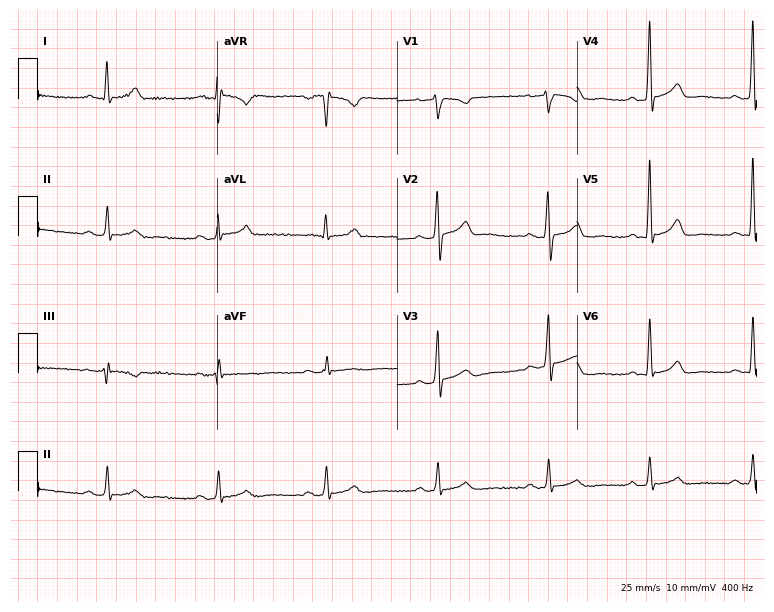
Resting 12-lead electrocardiogram. Patient: a male, 45 years old. None of these six findings is recorded: first-degree AV block, right bundle branch block, left bundle branch block, sinus bradycardia, atrial fibrillation, sinus tachycardia. Only these six findings were labelled.